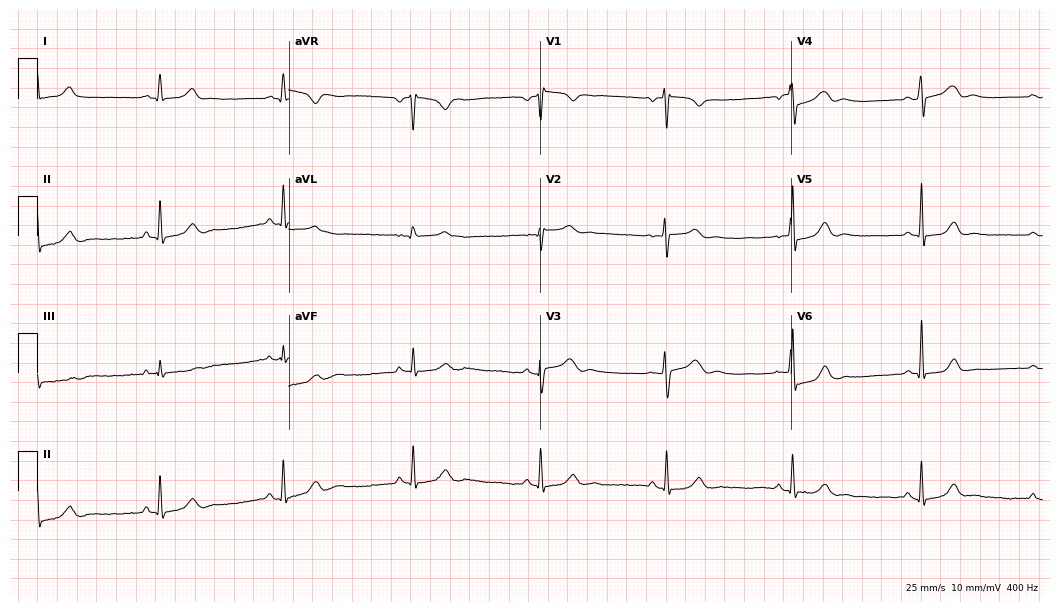
12-lead ECG from a 35-year-old female (10.2-second recording at 400 Hz). Shows sinus bradycardia (a sinus rate of 50 beats per minute or less).